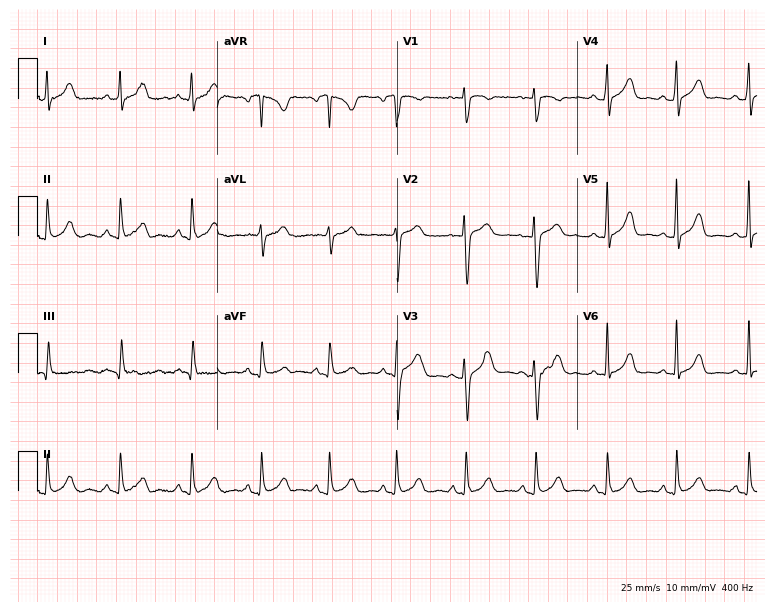
Electrocardiogram, a female patient, 22 years old. Overall reading on record: normal ECG.